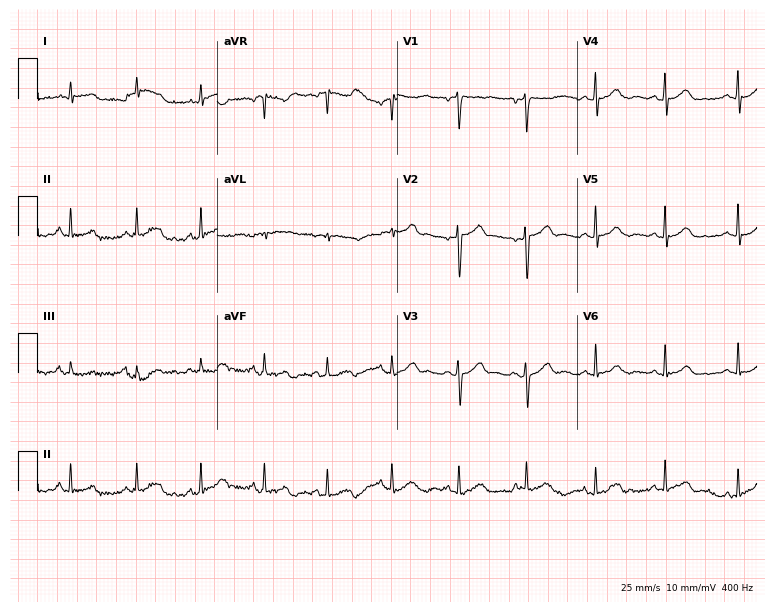
Electrocardiogram, a 45-year-old male patient. Overall reading on record: normal ECG.